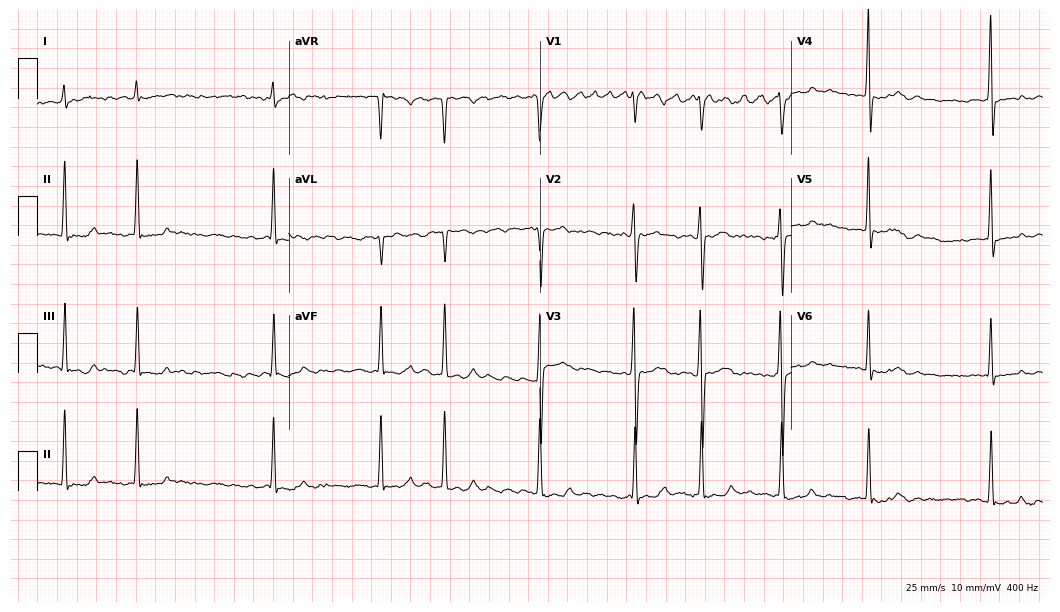
12-lead ECG from a 38-year-old woman. Shows atrial fibrillation (AF).